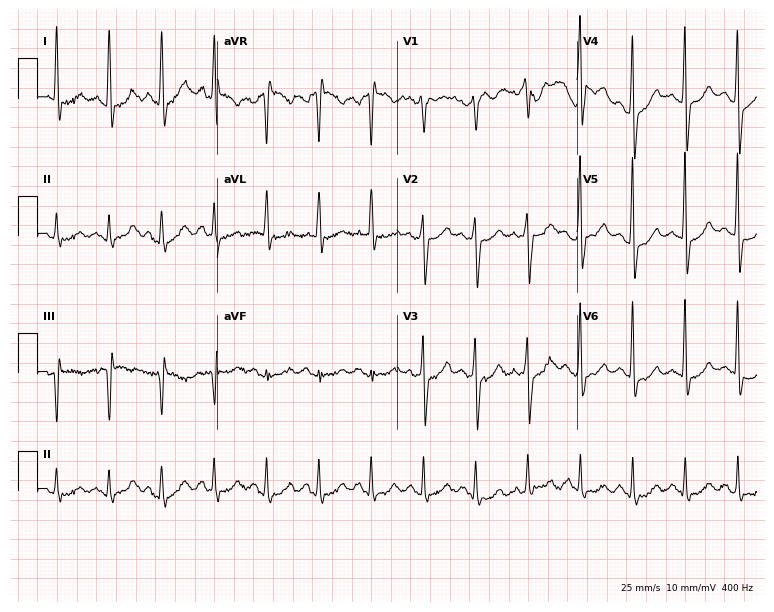
ECG — a male, 76 years old. Findings include sinus tachycardia (a sinus rate of 100 beats per minute or more).